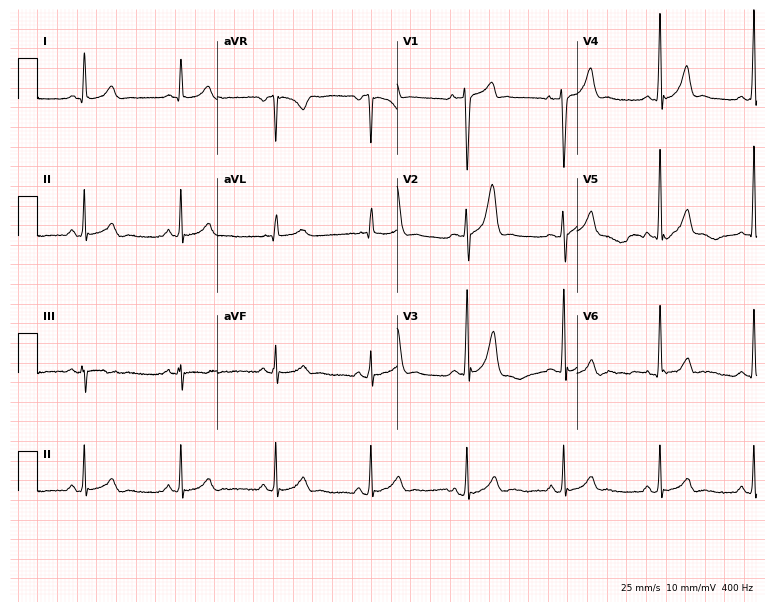
12-lead ECG (7.3-second recording at 400 Hz) from a man, 43 years old. Labelled as a normal ECG.